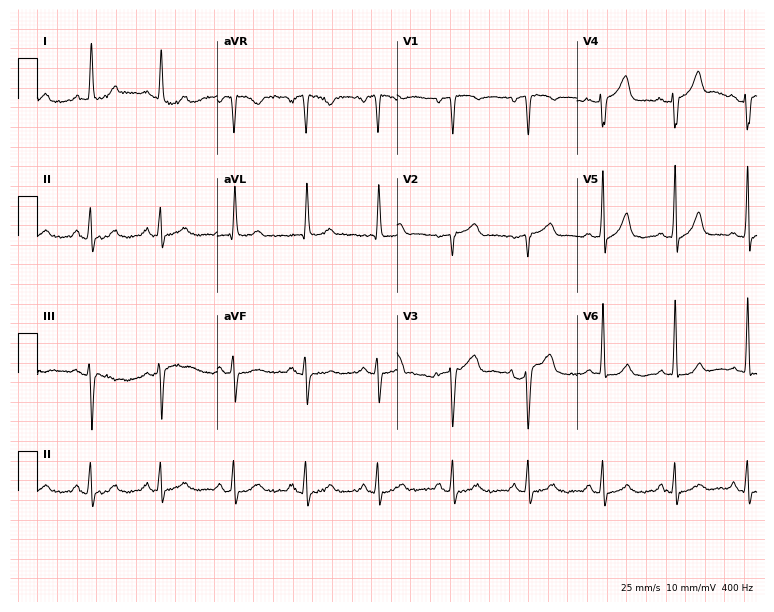
Standard 12-lead ECG recorded from a 74-year-old female. None of these six findings is recorded: first-degree AV block, right bundle branch block (RBBB), left bundle branch block (LBBB), sinus bradycardia, atrial fibrillation (AF), sinus tachycardia.